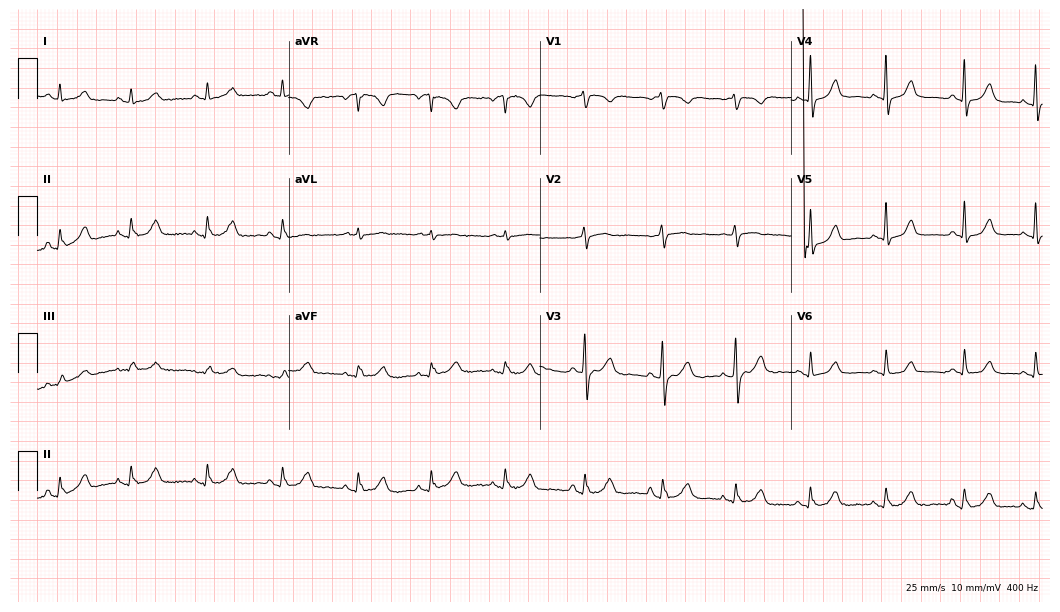
Electrocardiogram, a 57-year-old female patient. Of the six screened findings (first-degree AV block, right bundle branch block, left bundle branch block, sinus bradycardia, atrial fibrillation, sinus tachycardia), none is recorded.